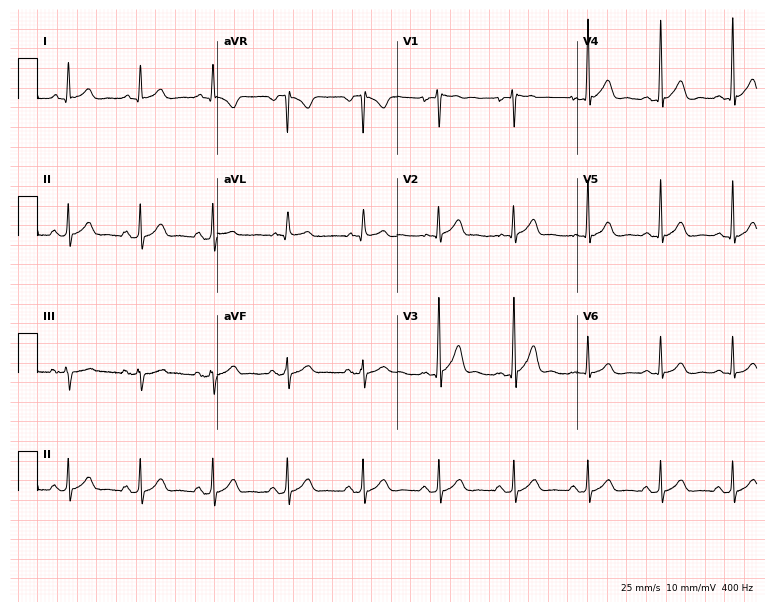
ECG — a male patient, 40 years old. Labelled as a normal ECG.